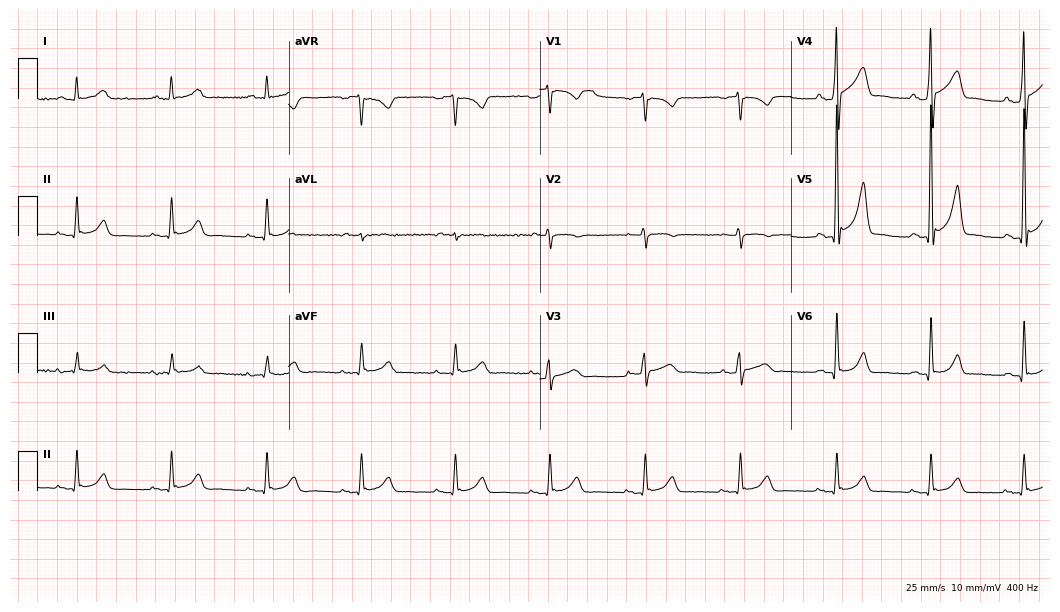
12-lead ECG (10.2-second recording at 400 Hz) from a 56-year-old man. Screened for six findings — first-degree AV block, right bundle branch block, left bundle branch block, sinus bradycardia, atrial fibrillation, sinus tachycardia — none is recorded. Only these six findings were labelled.